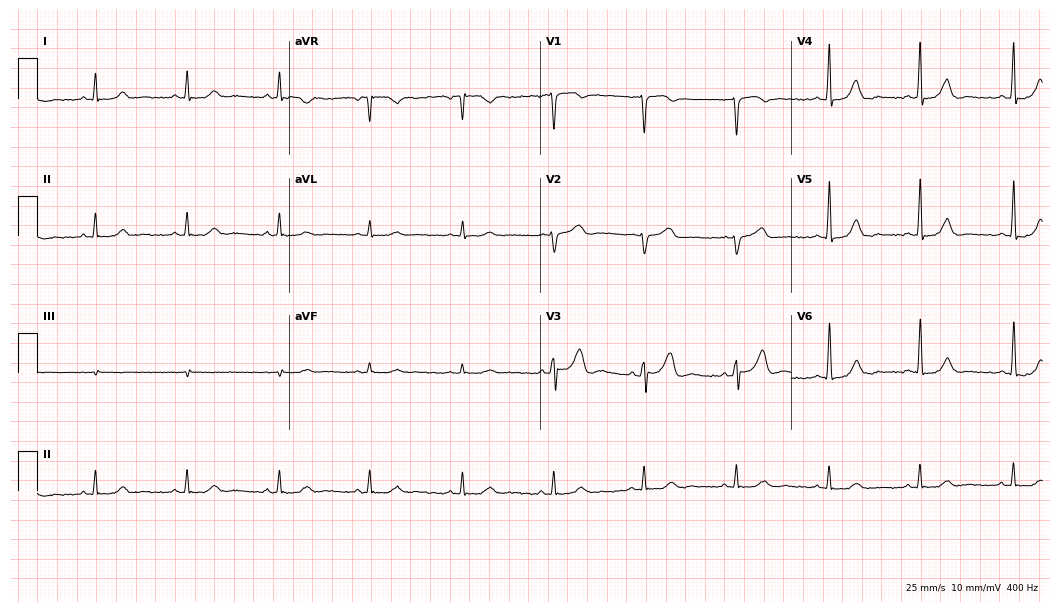
Standard 12-lead ECG recorded from a 50-year-old male patient. Read as a normal ECG.